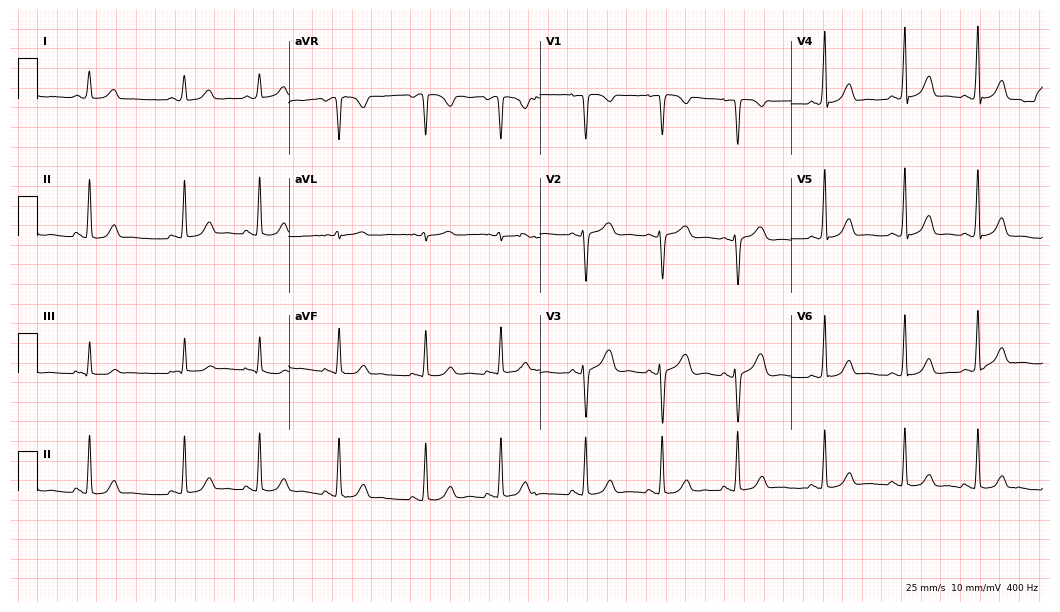
12-lead ECG from an 18-year-old female (10.2-second recording at 400 Hz). Recorded interpretation: within normal limits.